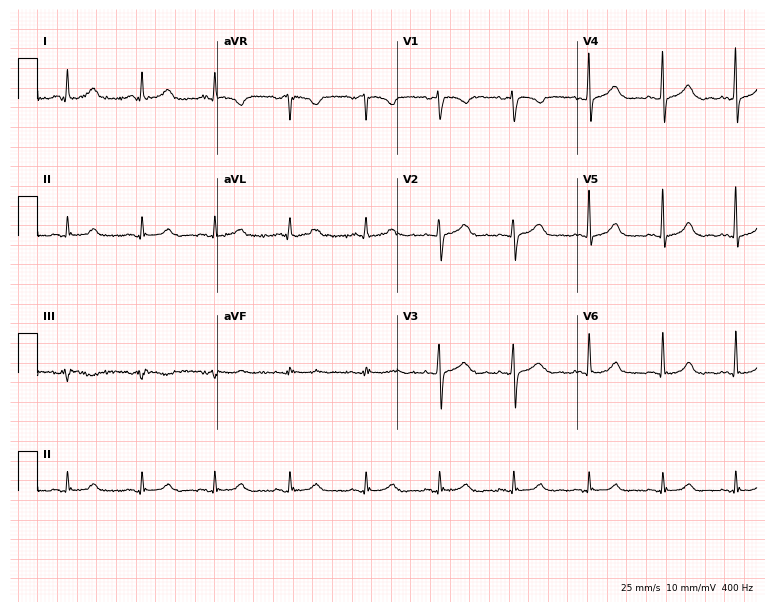
Standard 12-lead ECG recorded from a 39-year-old woman (7.3-second recording at 400 Hz). None of these six findings is recorded: first-degree AV block, right bundle branch block, left bundle branch block, sinus bradycardia, atrial fibrillation, sinus tachycardia. Other findings, if any, are not listed.